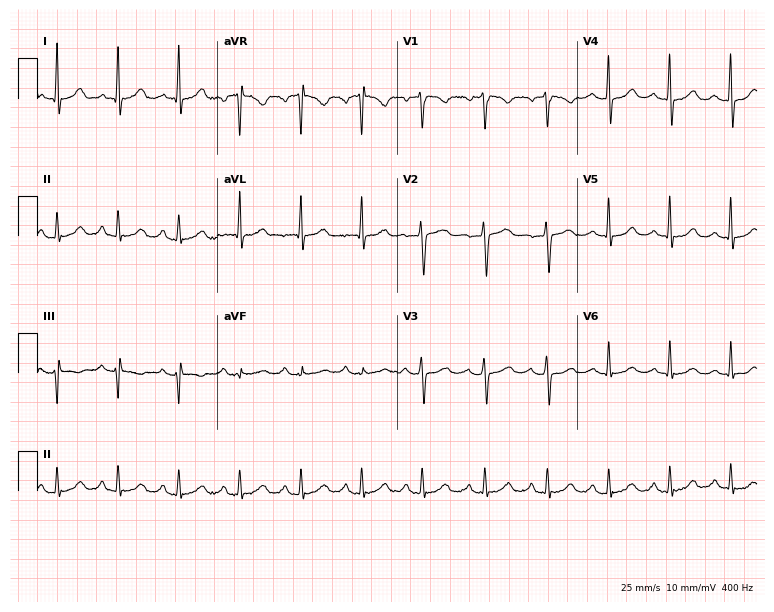
12-lead ECG from a 56-year-old woman. No first-degree AV block, right bundle branch block (RBBB), left bundle branch block (LBBB), sinus bradycardia, atrial fibrillation (AF) or sinus tachycardia recorded for this tracing. Findings outside these six are not listed.